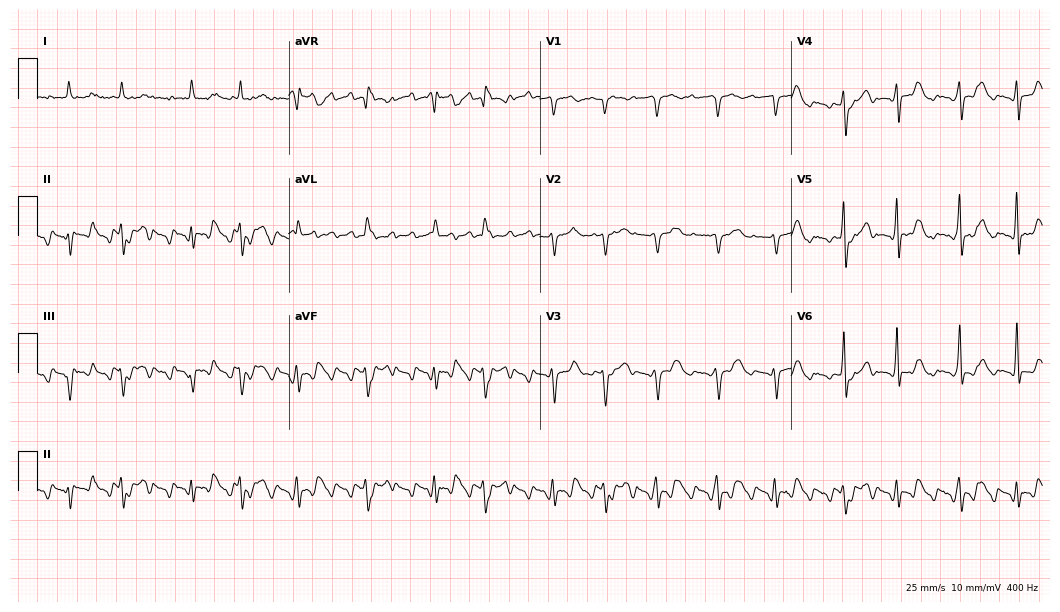
Resting 12-lead electrocardiogram. Patient: a man, 76 years old. None of these six findings is recorded: first-degree AV block, right bundle branch block, left bundle branch block, sinus bradycardia, atrial fibrillation, sinus tachycardia.